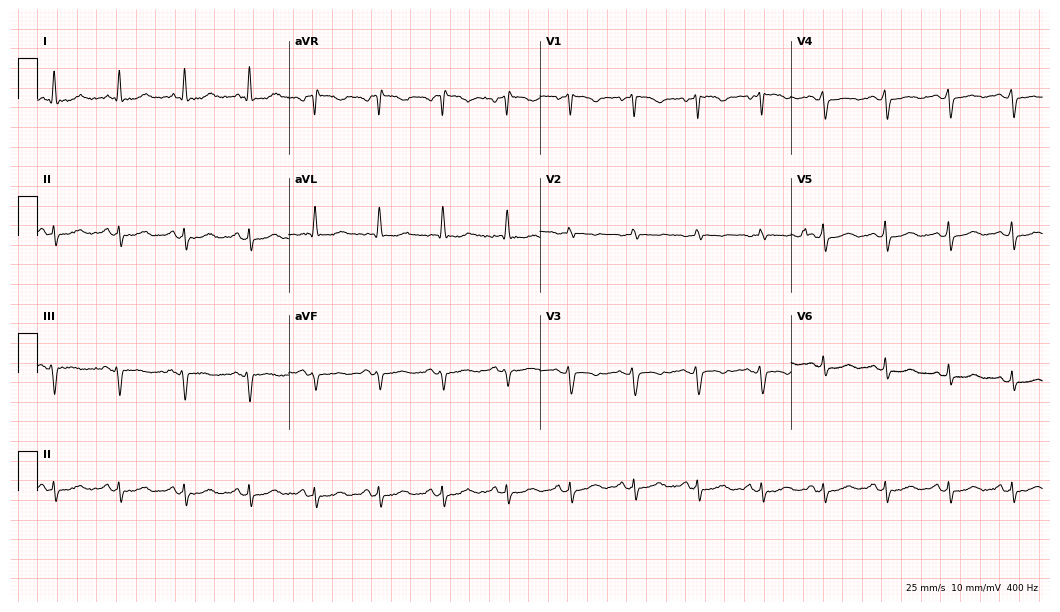
ECG (10.2-second recording at 400 Hz) — a female patient, 62 years old. Screened for six findings — first-degree AV block, right bundle branch block, left bundle branch block, sinus bradycardia, atrial fibrillation, sinus tachycardia — none is recorded.